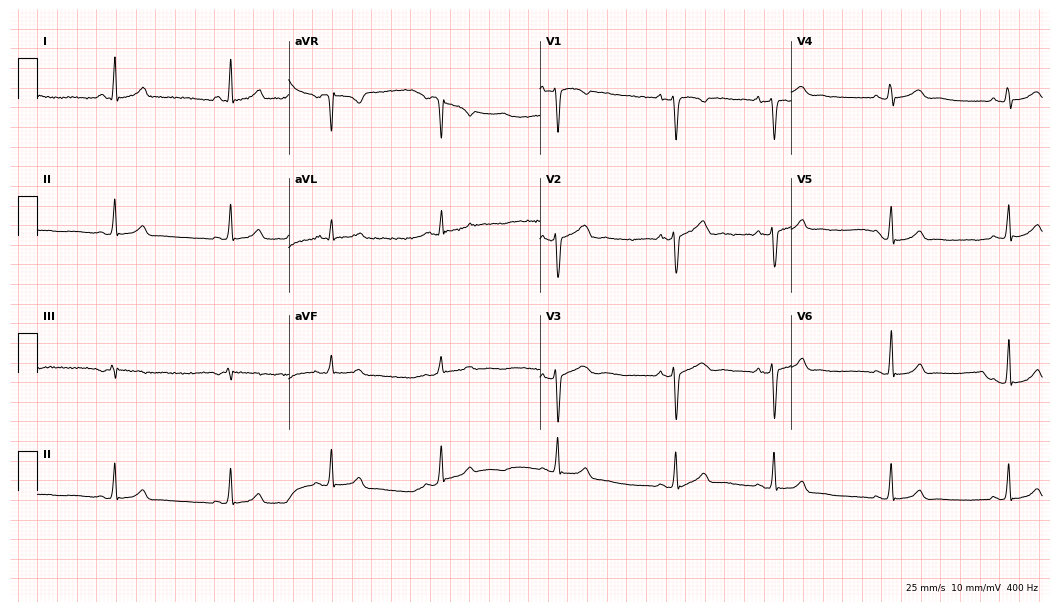
Resting 12-lead electrocardiogram. Patient: a female, 23 years old. None of these six findings is recorded: first-degree AV block, right bundle branch block, left bundle branch block, sinus bradycardia, atrial fibrillation, sinus tachycardia. Other findings, if any, are not listed.